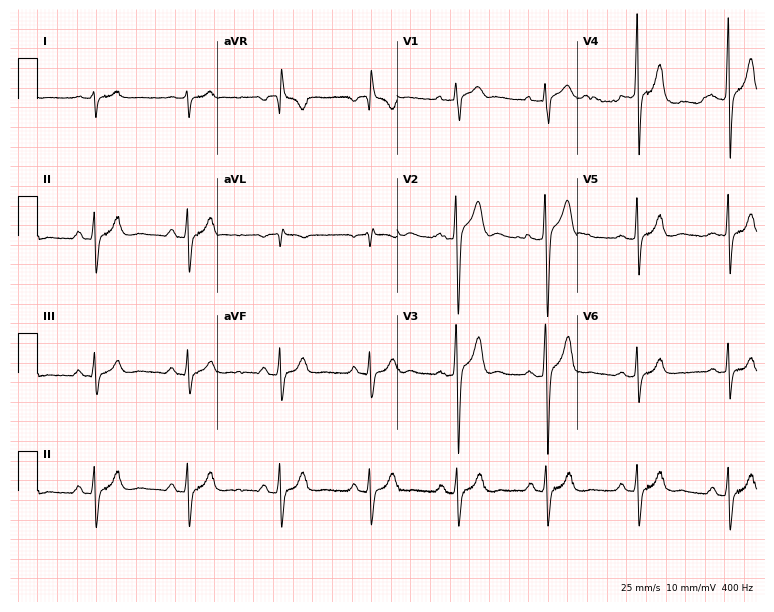
12-lead ECG from a male, 34 years old. Screened for six findings — first-degree AV block, right bundle branch block (RBBB), left bundle branch block (LBBB), sinus bradycardia, atrial fibrillation (AF), sinus tachycardia — none is recorded.